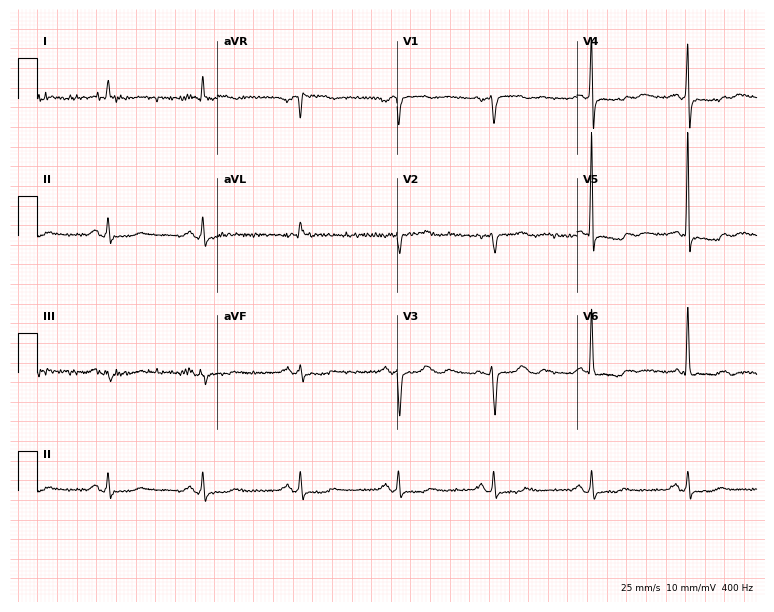
Electrocardiogram, a 77-year-old woman. Of the six screened findings (first-degree AV block, right bundle branch block (RBBB), left bundle branch block (LBBB), sinus bradycardia, atrial fibrillation (AF), sinus tachycardia), none is recorded.